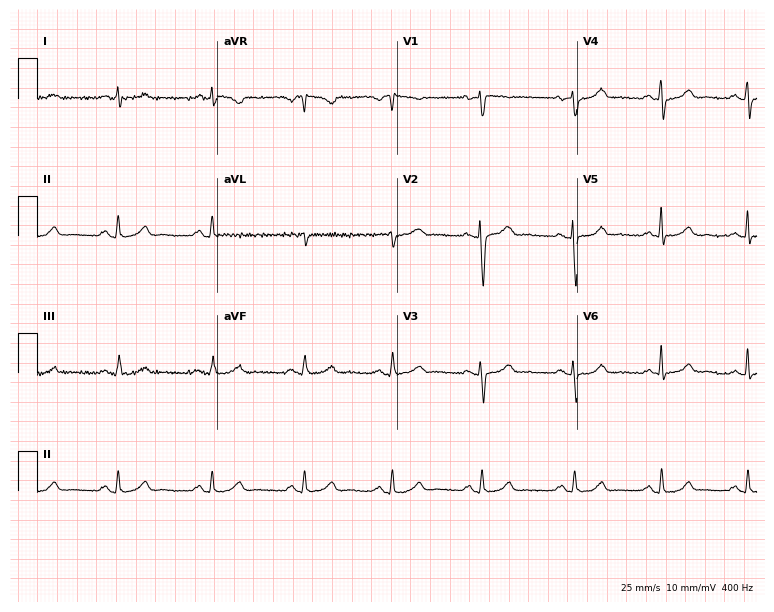
Resting 12-lead electrocardiogram. Patient: a 58-year-old woman. None of these six findings is recorded: first-degree AV block, right bundle branch block, left bundle branch block, sinus bradycardia, atrial fibrillation, sinus tachycardia. Findings outside these six are not listed.